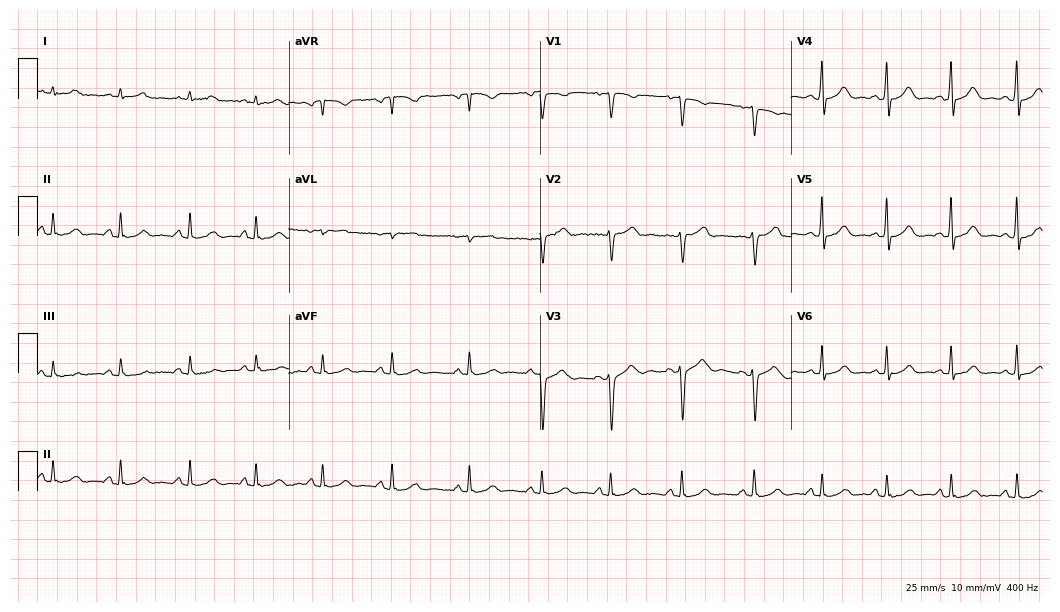
Resting 12-lead electrocardiogram (10.2-second recording at 400 Hz). Patient: a female, 36 years old. Read as a normal ECG.